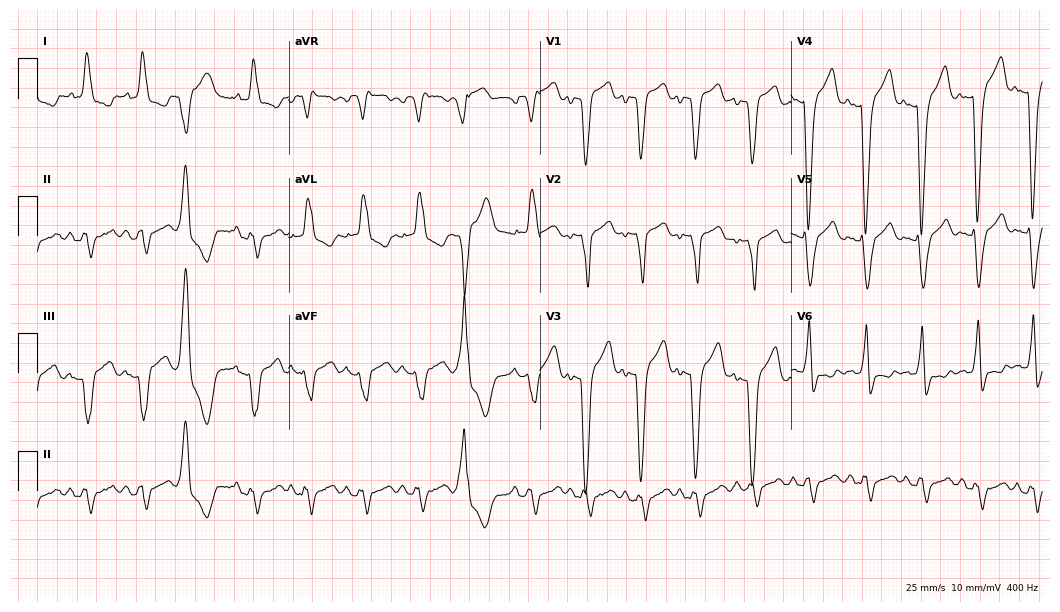
Electrocardiogram (10.2-second recording at 400 Hz), a female patient, 81 years old. Interpretation includes left bundle branch block (LBBB), sinus tachycardia (a sinus rate of 100 beats per minute or more).